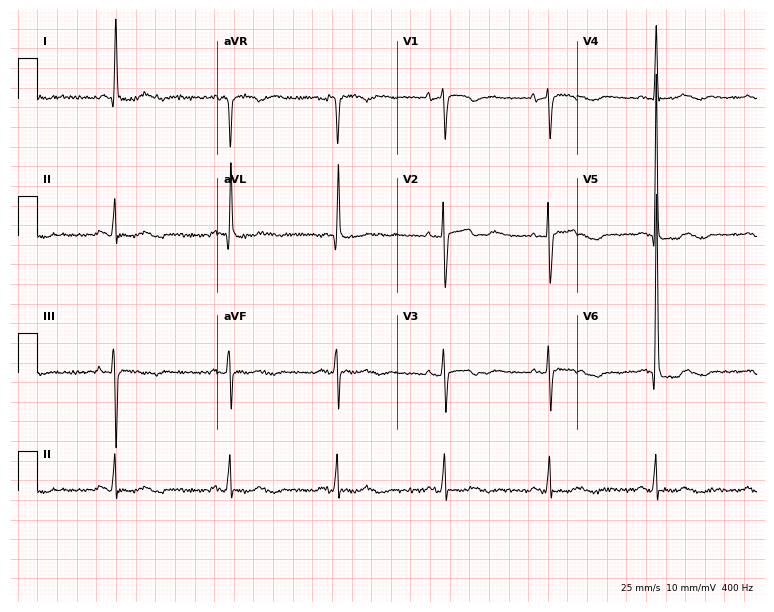
Resting 12-lead electrocardiogram. Patient: a woman, 85 years old. None of these six findings is recorded: first-degree AV block, right bundle branch block, left bundle branch block, sinus bradycardia, atrial fibrillation, sinus tachycardia. Other findings, if any, are not listed.